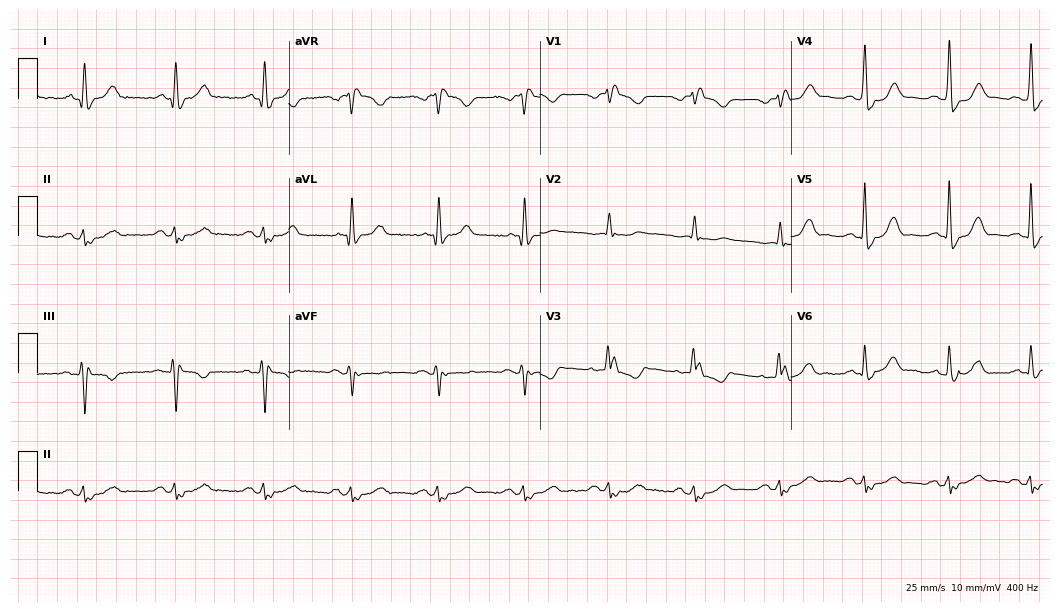
12-lead ECG from a 72-year-old female. Shows right bundle branch block (RBBB).